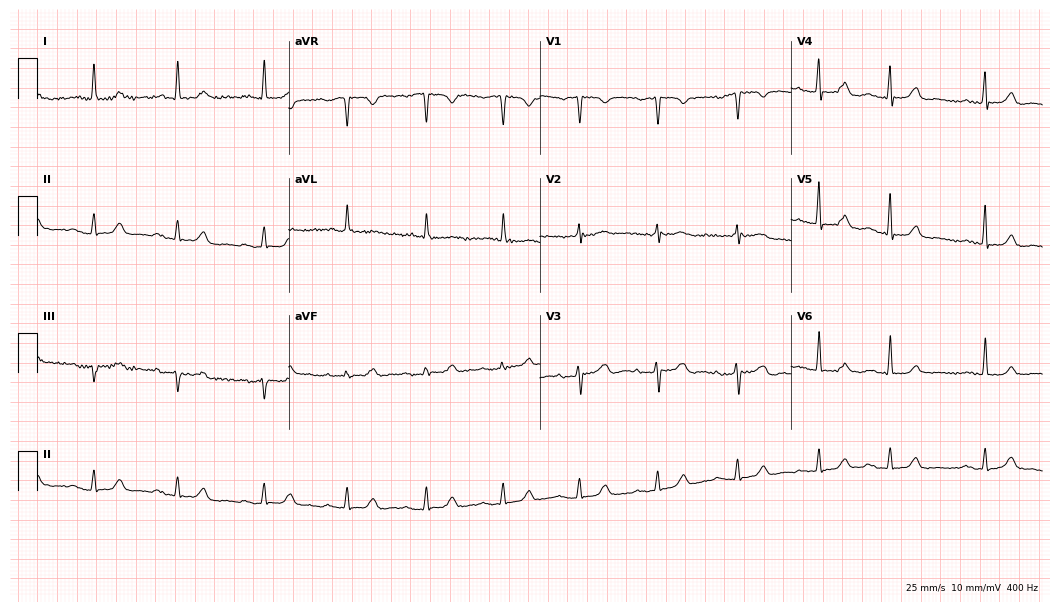
Resting 12-lead electrocardiogram (10.2-second recording at 400 Hz). Patient: a female, 76 years old. None of these six findings is recorded: first-degree AV block, right bundle branch block (RBBB), left bundle branch block (LBBB), sinus bradycardia, atrial fibrillation (AF), sinus tachycardia.